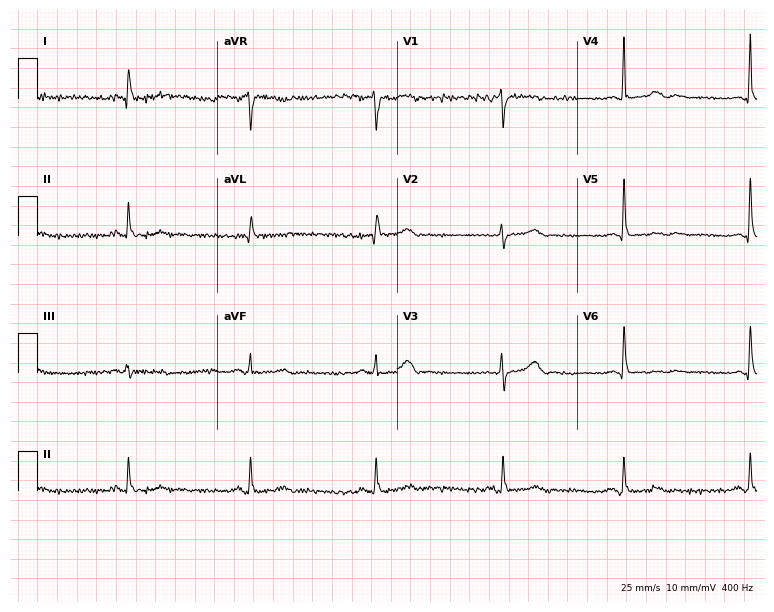
Standard 12-lead ECG recorded from a female patient, 71 years old. The tracing shows sinus bradycardia (a sinus rate of 50 beats per minute or less).